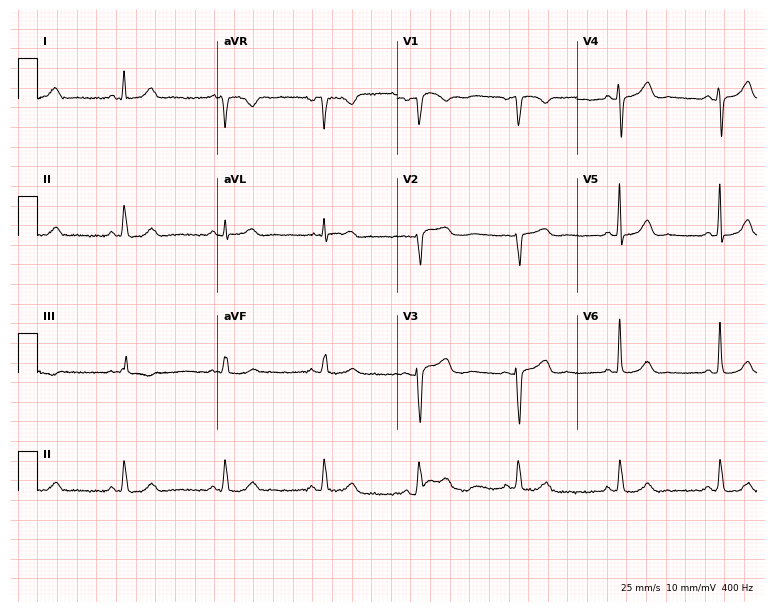
12-lead ECG from a female patient, 69 years old. Screened for six findings — first-degree AV block, right bundle branch block, left bundle branch block, sinus bradycardia, atrial fibrillation, sinus tachycardia — none is recorded.